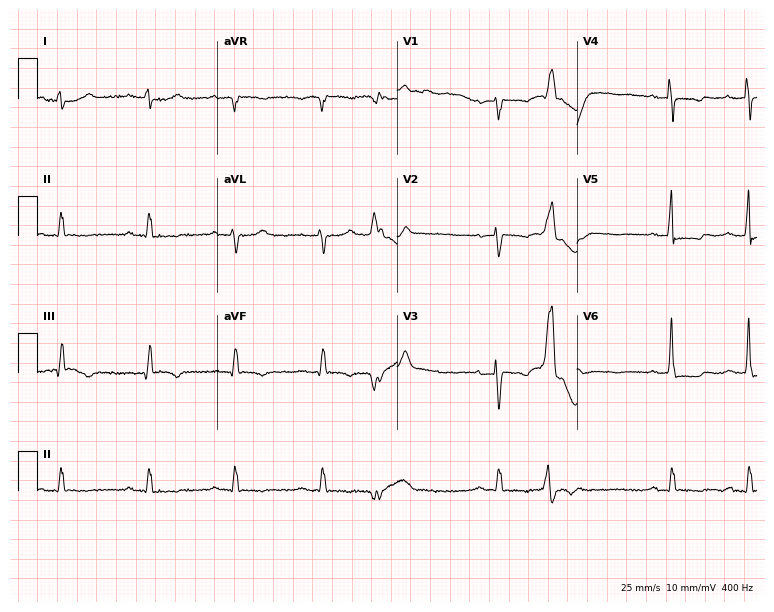
Resting 12-lead electrocardiogram. Patient: a 65-year-old female. None of these six findings is recorded: first-degree AV block, right bundle branch block, left bundle branch block, sinus bradycardia, atrial fibrillation, sinus tachycardia.